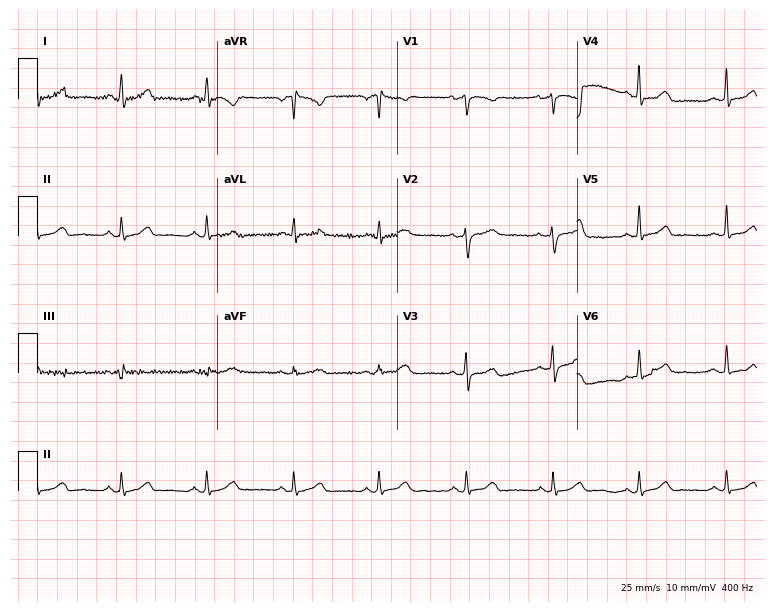
12-lead ECG from a 49-year-old woman (7.3-second recording at 400 Hz). Recorded interpretation: within normal limits.